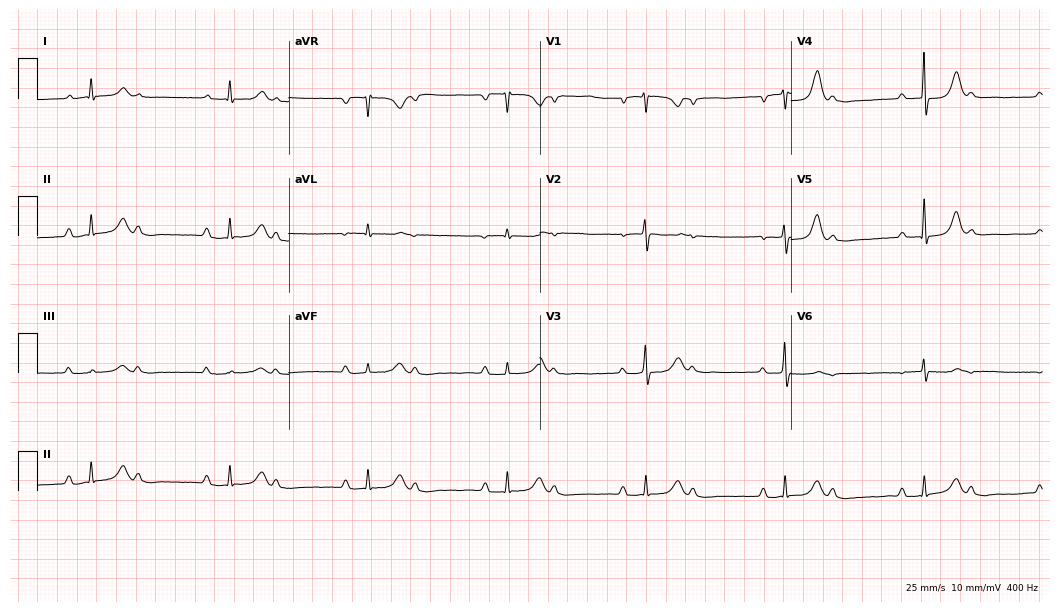
Resting 12-lead electrocardiogram. Patient: a 77-year-old female. The tracing shows first-degree AV block, right bundle branch block.